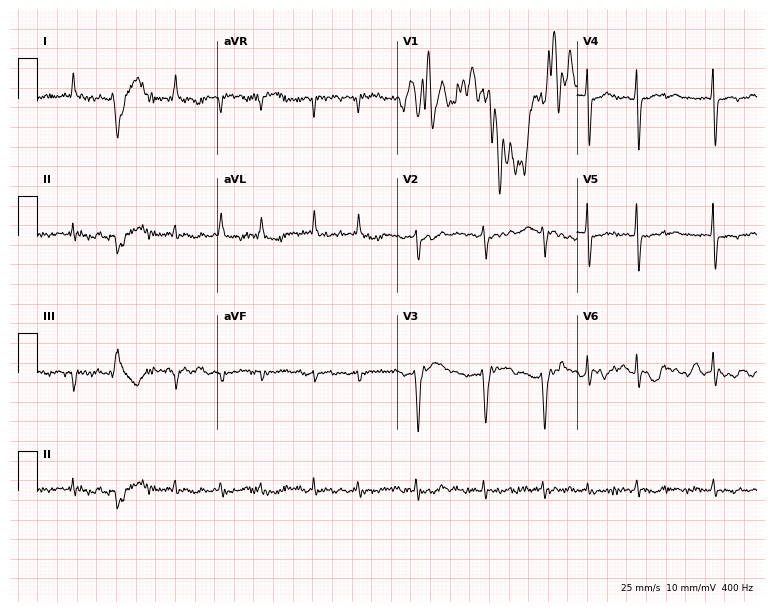
12-lead ECG from an 83-year-old female patient (7.3-second recording at 400 Hz). Shows atrial fibrillation.